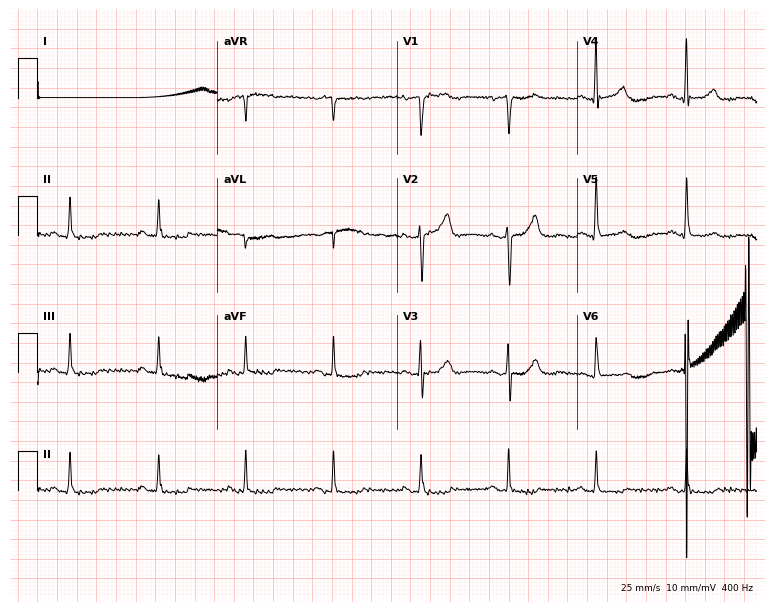
Standard 12-lead ECG recorded from a 76-year-old female (7.3-second recording at 400 Hz). None of these six findings is recorded: first-degree AV block, right bundle branch block, left bundle branch block, sinus bradycardia, atrial fibrillation, sinus tachycardia.